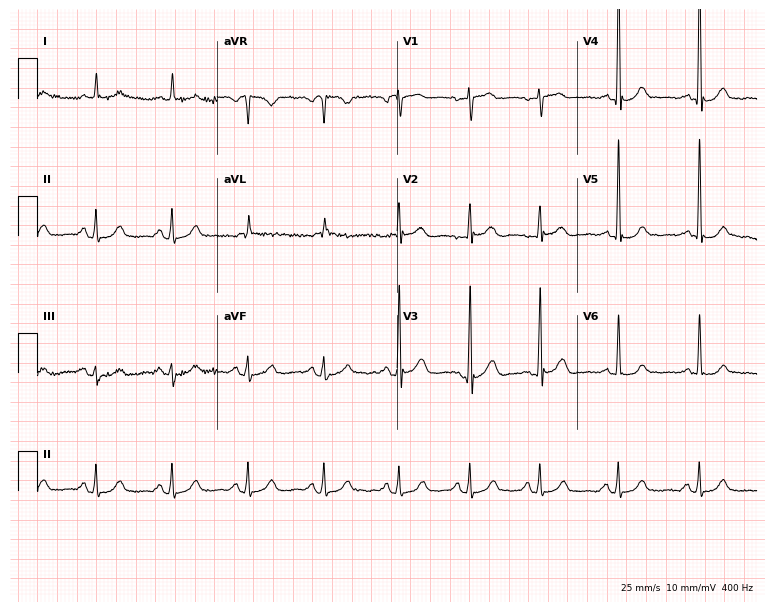
12-lead ECG from a man, 80 years old. Labelled as a normal ECG.